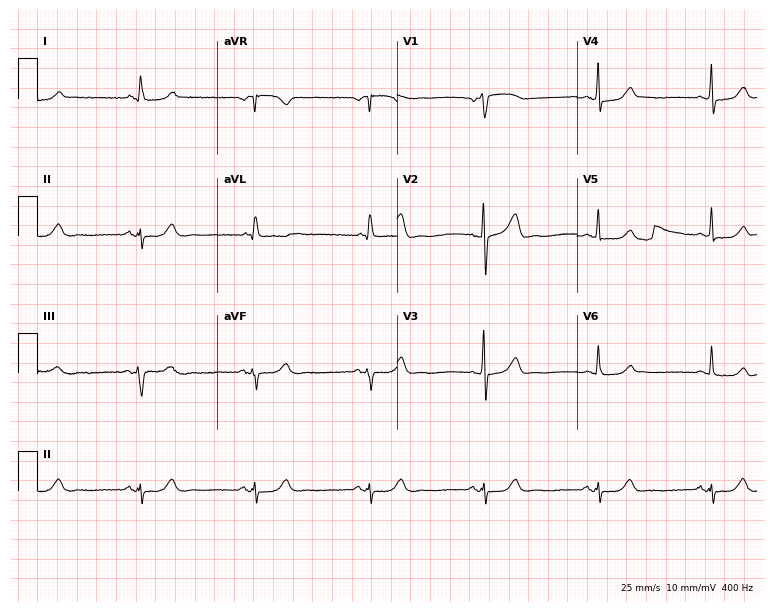
12-lead ECG (7.3-second recording at 400 Hz) from a 76-year-old male patient. Screened for six findings — first-degree AV block, right bundle branch block (RBBB), left bundle branch block (LBBB), sinus bradycardia, atrial fibrillation (AF), sinus tachycardia — none is recorded.